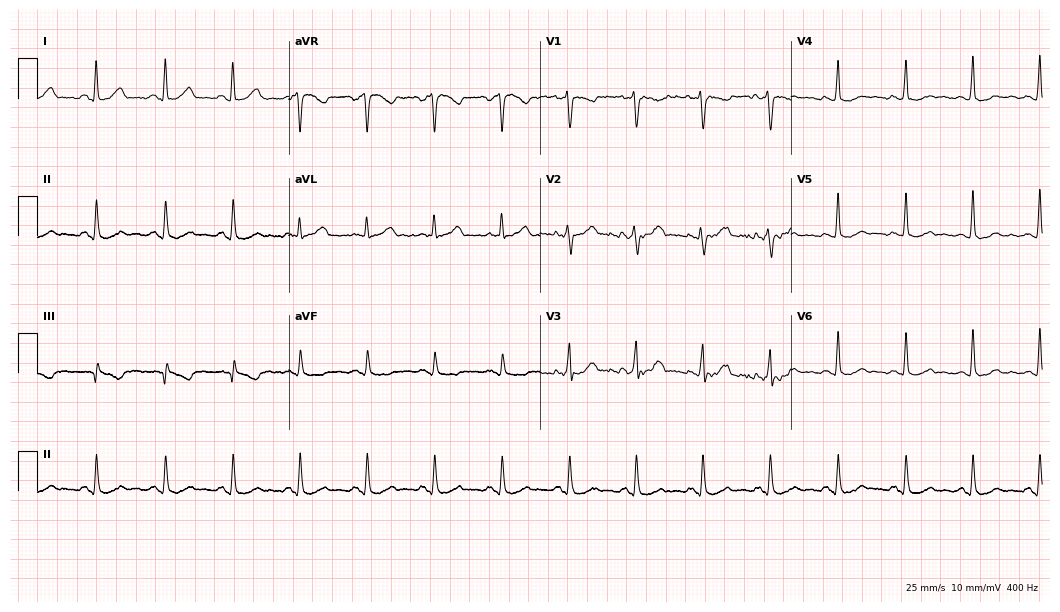
12-lead ECG from a 44-year-old female patient. Screened for six findings — first-degree AV block, right bundle branch block, left bundle branch block, sinus bradycardia, atrial fibrillation, sinus tachycardia — none is recorded.